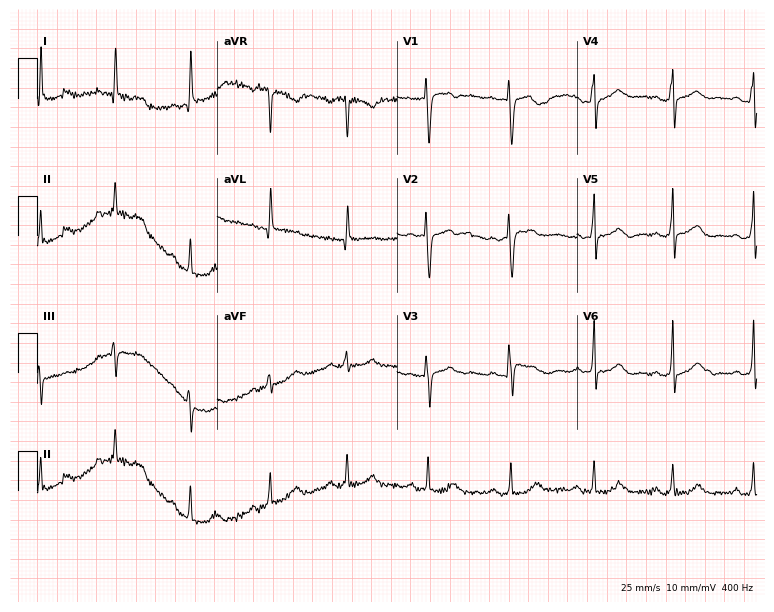
12-lead ECG from a woman, 42 years old (7.3-second recording at 400 Hz). Recorded interpretation: within normal limits.